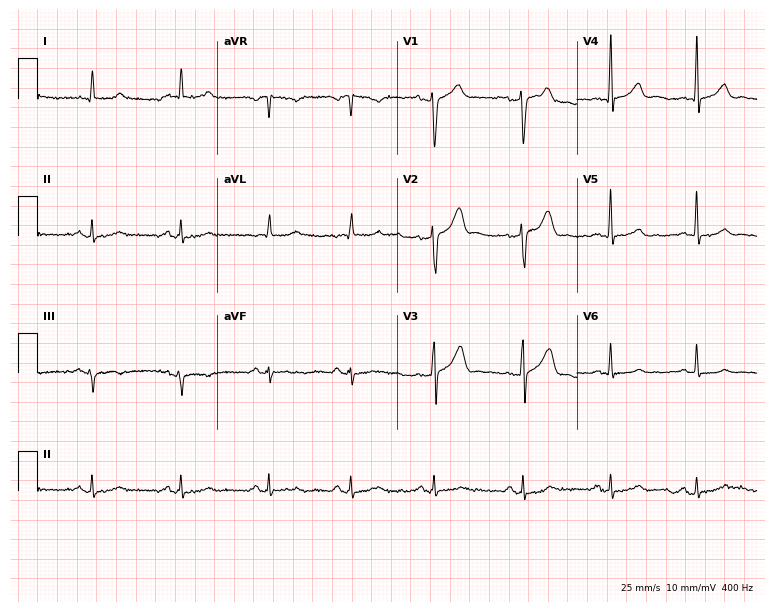
12-lead ECG from a male patient, 67 years old. Labelled as a normal ECG.